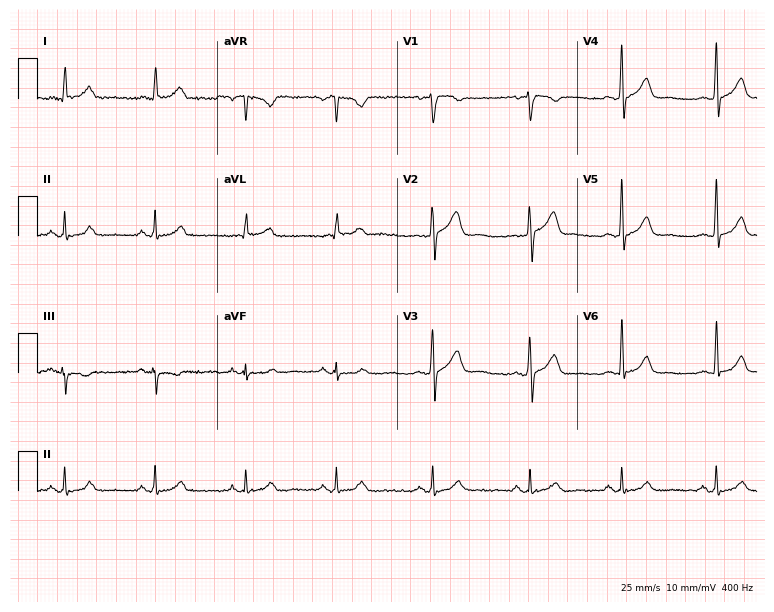
Resting 12-lead electrocardiogram (7.3-second recording at 400 Hz). Patient: a 42-year-old male. None of these six findings is recorded: first-degree AV block, right bundle branch block, left bundle branch block, sinus bradycardia, atrial fibrillation, sinus tachycardia. Findings outside these six are not listed.